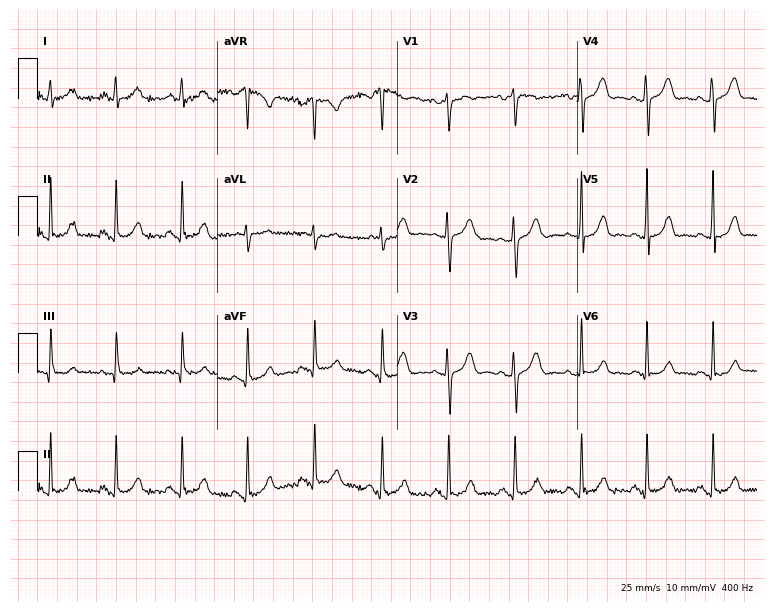
ECG — a female, 38 years old. Labelled as a normal ECG.